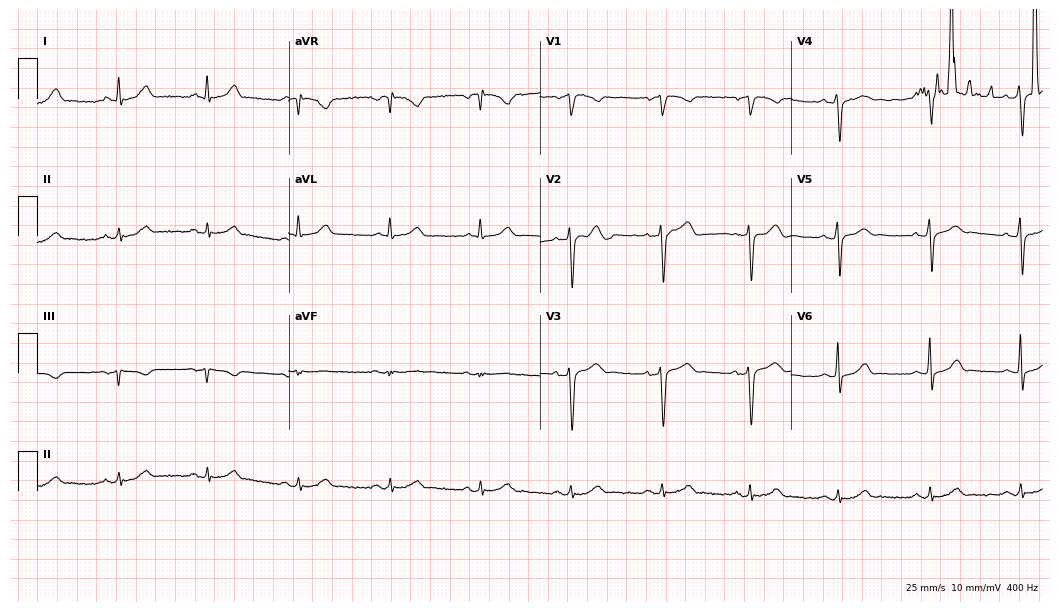
Standard 12-lead ECG recorded from a male patient, 52 years old. None of these six findings is recorded: first-degree AV block, right bundle branch block, left bundle branch block, sinus bradycardia, atrial fibrillation, sinus tachycardia.